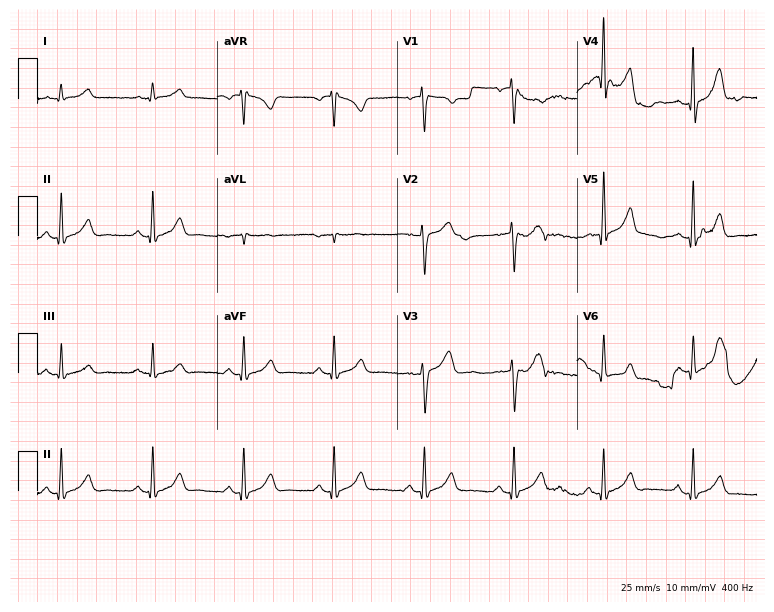
Standard 12-lead ECG recorded from a male patient, 35 years old. None of these six findings is recorded: first-degree AV block, right bundle branch block (RBBB), left bundle branch block (LBBB), sinus bradycardia, atrial fibrillation (AF), sinus tachycardia.